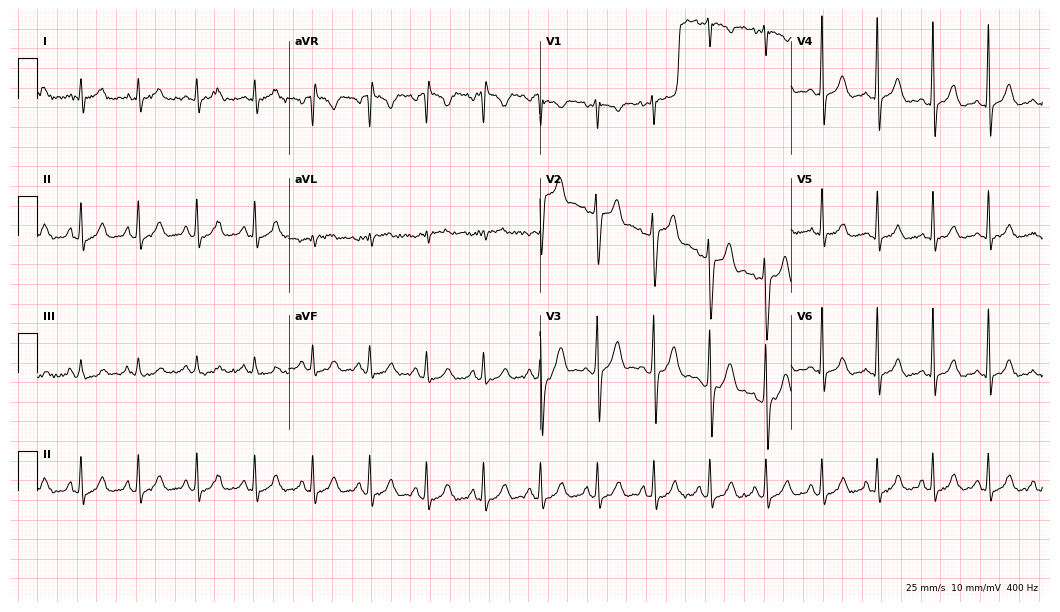
12-lead ECG from a male, 35 years old (10.2-second recording at 400 Hz). Shows sinus tachycardia (a sinus rate of 100 beats per minute or more).